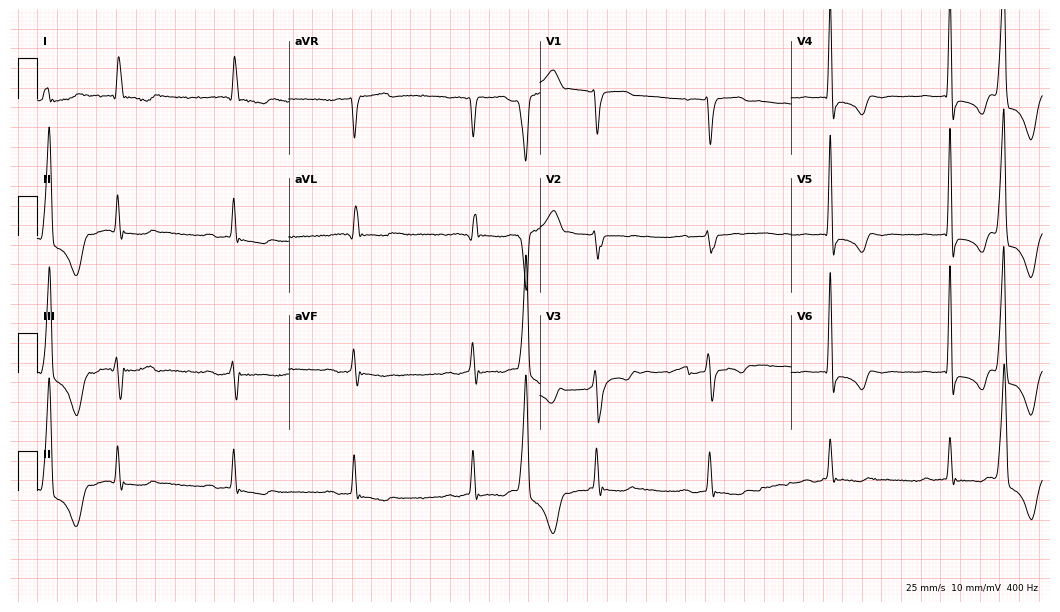
Electrocardiogram, a 78-year-old female. Of the six screened findings (first-degree AV block, right bundle branch block (RBBB), left bundle branch block (LBBB), sinus bradycardia, atrial fibrillation (AF), sinus tachycardia), none is recorded.